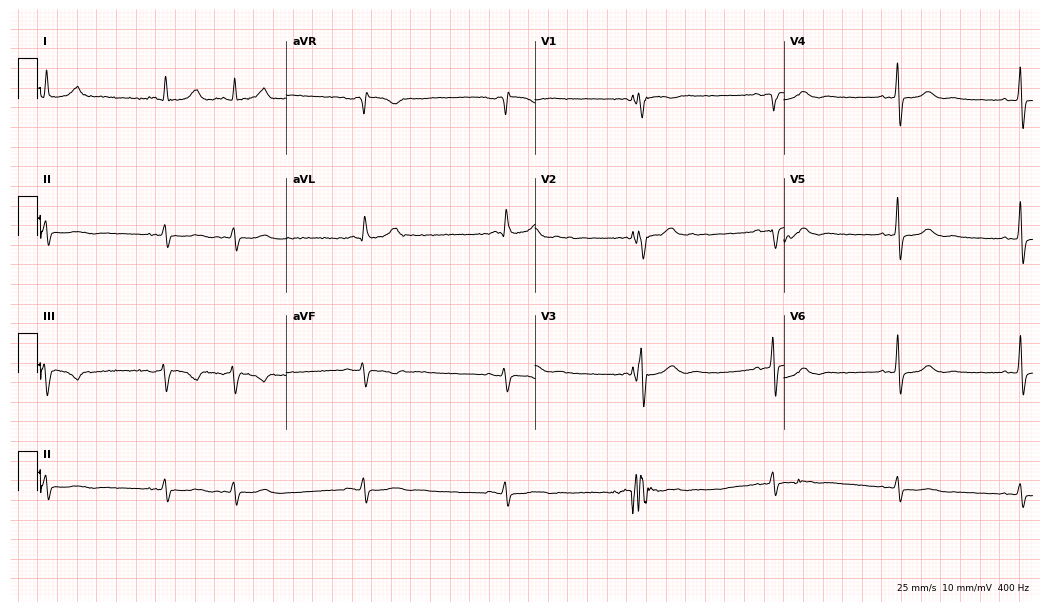
Electrocardiogram, a male, 66 years old. Of the six screened findings (first-degree AV block, right bundle branch block (RBBB), left bundle branch block (LBBB), sinus bradycardia, atrial fibrillation (AF), sinus tachycardia), none is recorded. Only these six findings were labelled.